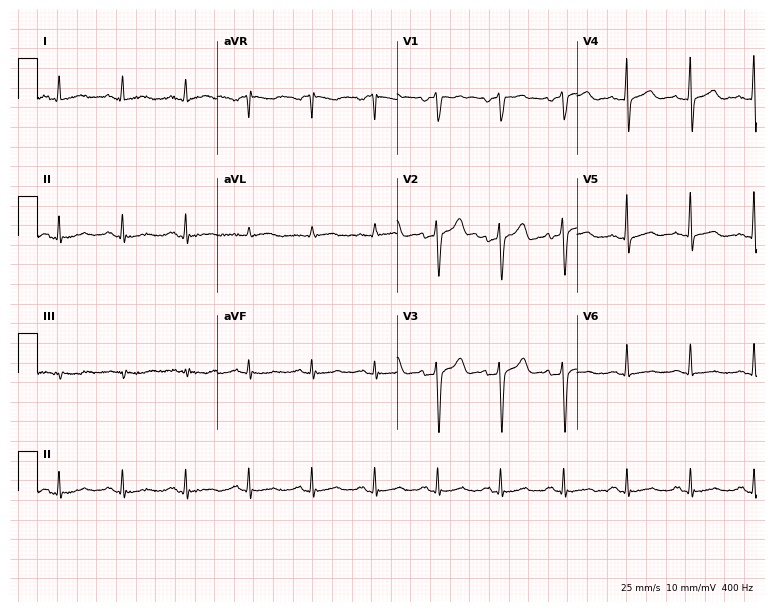
Resting 12-lead electrocardiogram (7.3-second recording at 400 Hz). Patient: a 51-year-old man. None of these six findings is recorded: first-degree AV block, right bundle branch block, left bundle branch block, sinus bradycardia, atrial fibrillation, sinus tachycardia. Findings outside these six are not listed.